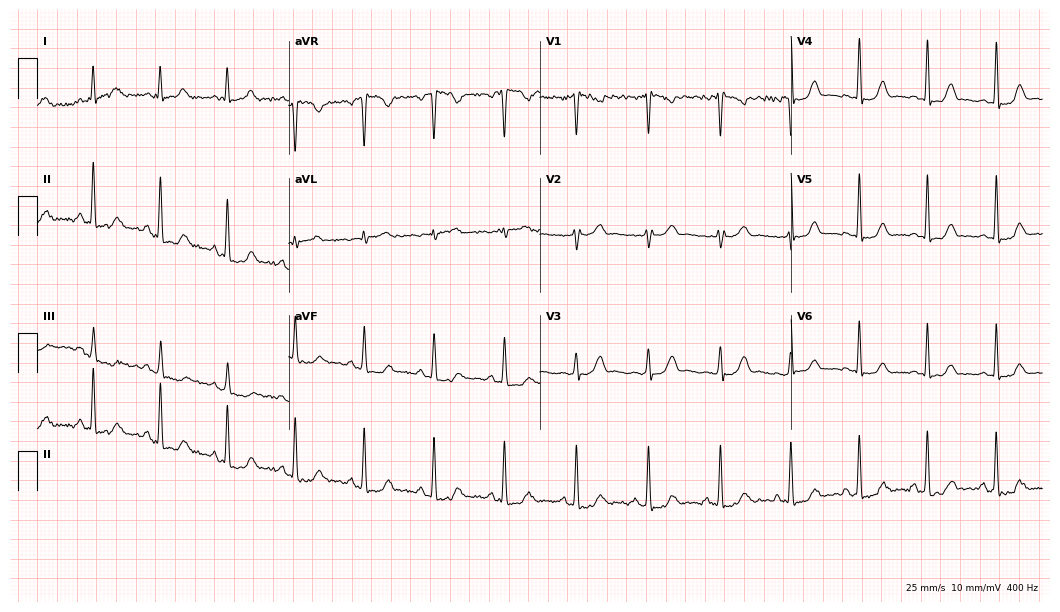
Resting 12-lead electrocardiogram (10.2-second recording at 400 Hz). Patient: a 38-year-old woman. Read as a normal ECG.